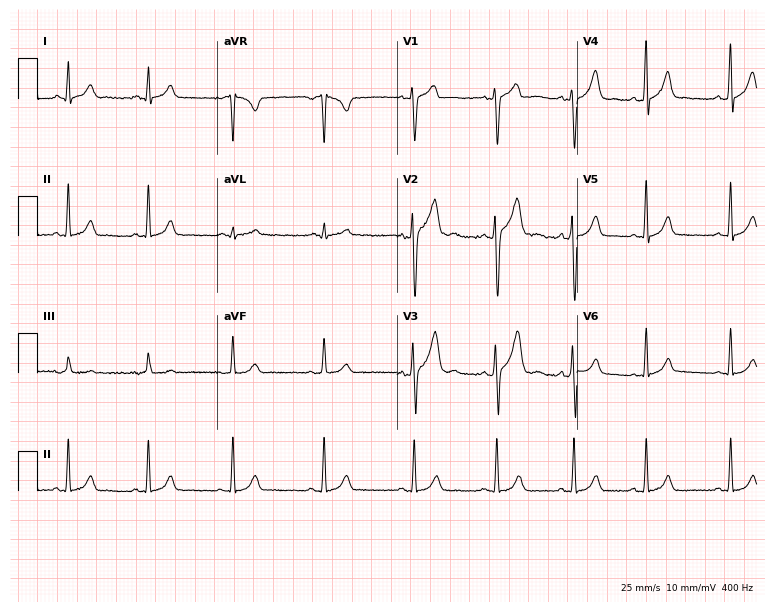
Standard 12-lead ECG recorded from a man, 17 years old. None of these six findings is recorded: first-degree AV block, right bundle branch block, left bundle branch block, sinus bradycardia, atrial fibrillation, sinus tachycardia. Findings outside these six are not listed.